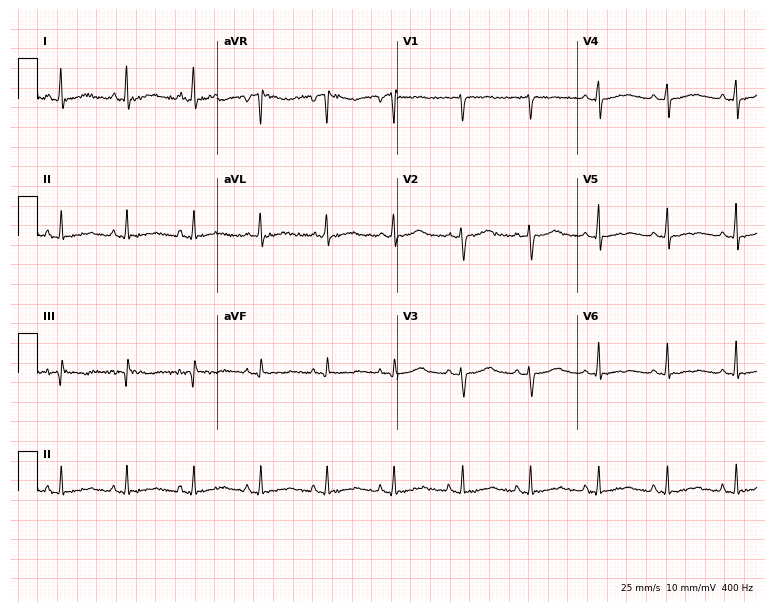
Standard 12-lead ECG recorded from a 50-year-old woman (7.3-second recording at 400 Hz). Read as a normal ECG.